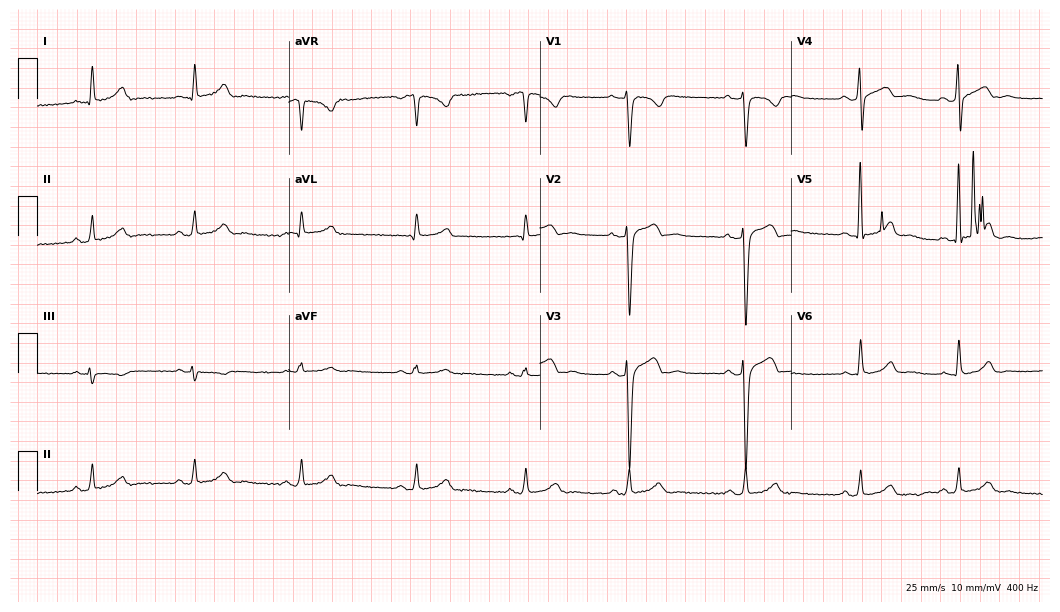
12-lead ECG from a male patient, 28 years old (10.2-second recording at 400 Hz). No first-degree AV block, right bundle branch block, left bundle branch block, sinus bradycardia, atrial fibrillation or sinus tachycardia recorded for this tracing. Other findings, if any, are not listed.